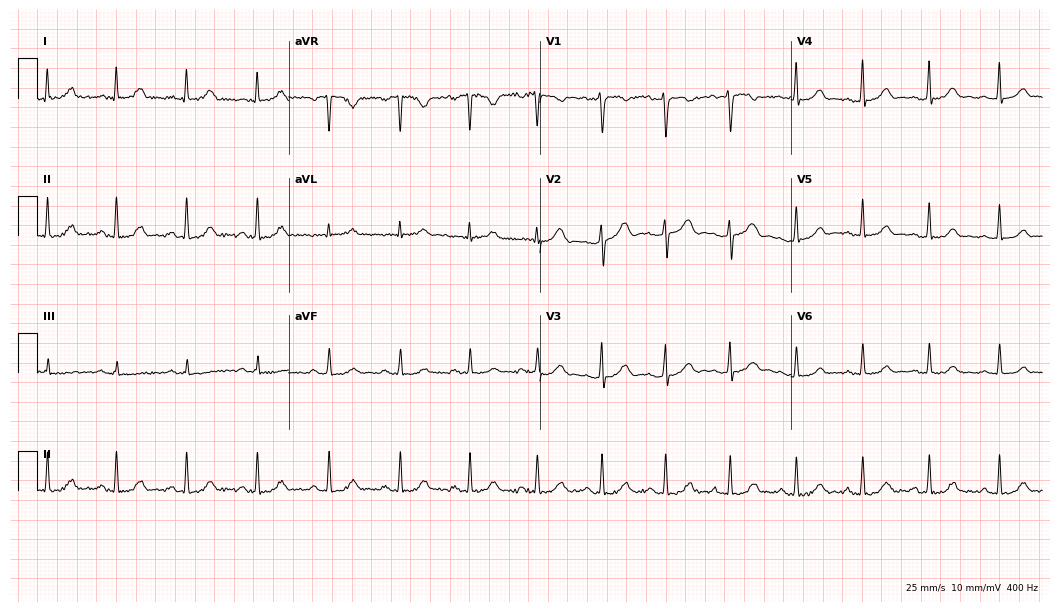
Standard 12-lead ECG recorded from a 25-year-old female. Read as a normal ECG.